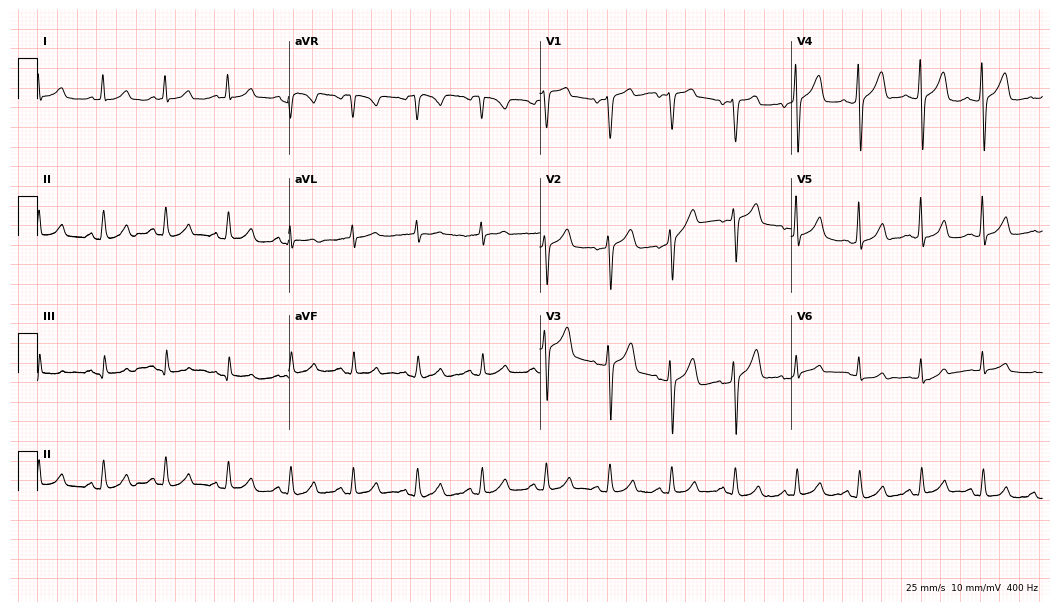
12-lead ECG (10.2-second recording at 400 Hz) from a woman, 49 years old. Screened for six findings — first-degree AV block, right bundle branch block, left bundle branch block, sinus bradycardia, atrial fibrillation, sinus tachycardia — none is recorded.